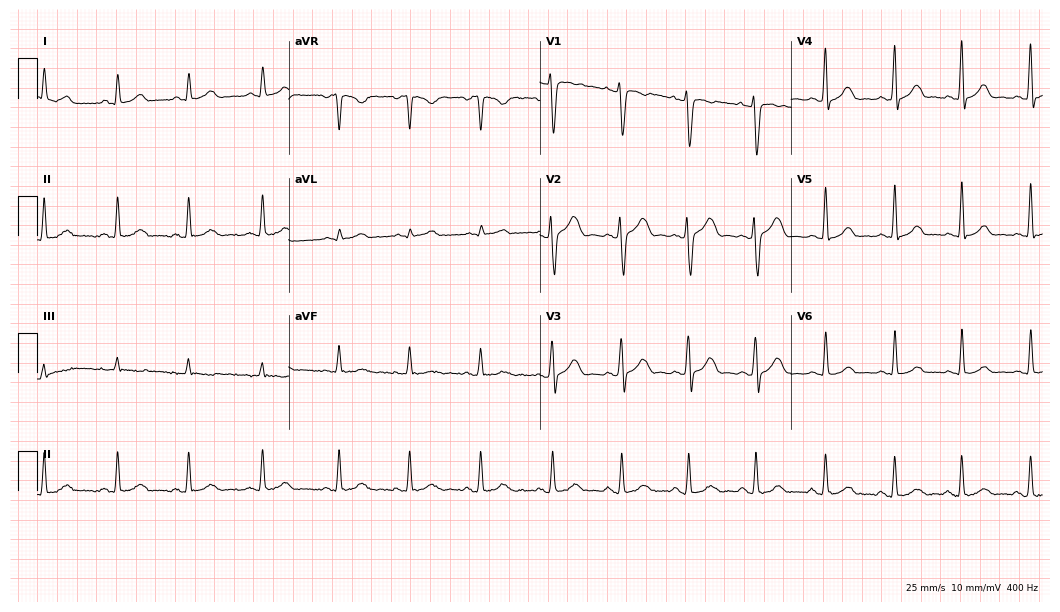
ECG — a woman, 31 years old. Screened for six findings — first-degree AV block, right bundle branch block (RBBB), left bundle branch block (LBBB), sinus bradycardia, atrial fibrillation (AF), sinus tachycardia — none is recorded. Findings outside these six are not listed.